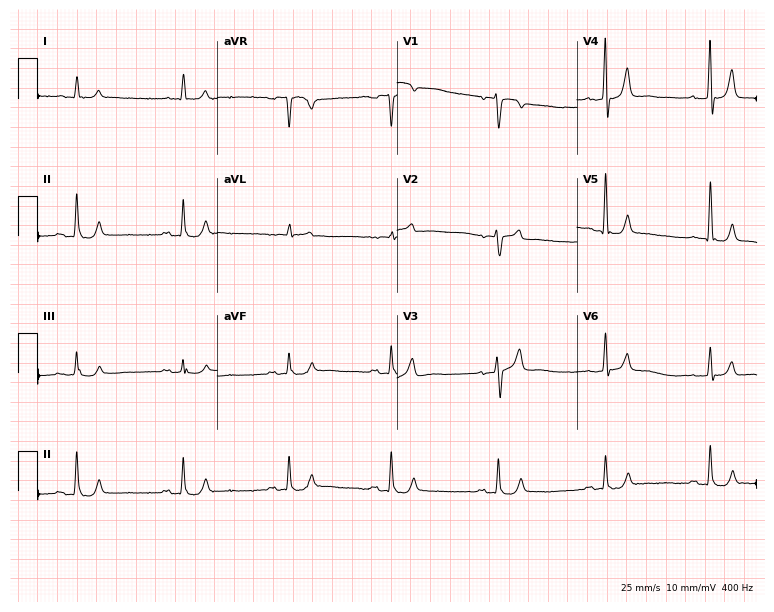
Electrocardiogram (7.3-second recording at 400 Hz), a 67-year-old man. Of the six screened findings (first-degree AV block, right bundle branch block, left bundle branch block, sinus bradycardia, atrial fibrillation, sinus tachycardia), none is recorded. Findings outside these six are not listed.